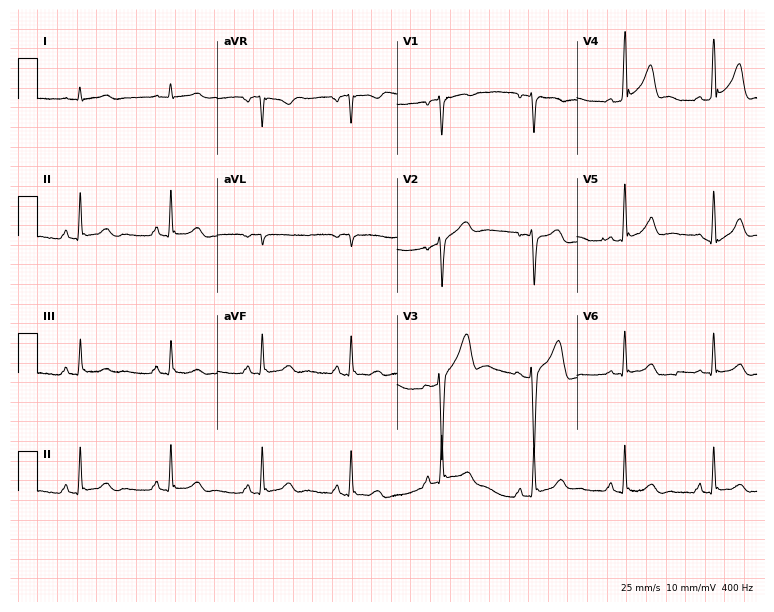
Electrocardiogram (7.3-second recording at 400 Hz), a male, 44 years old. Of the six screened findings (first-degree AV block, right bundle branch block, left bundle branch block, sinus bradycardia, atrial fibrillation, sinus tachycardia), none is recorded. Other findings, if any, are not listed.